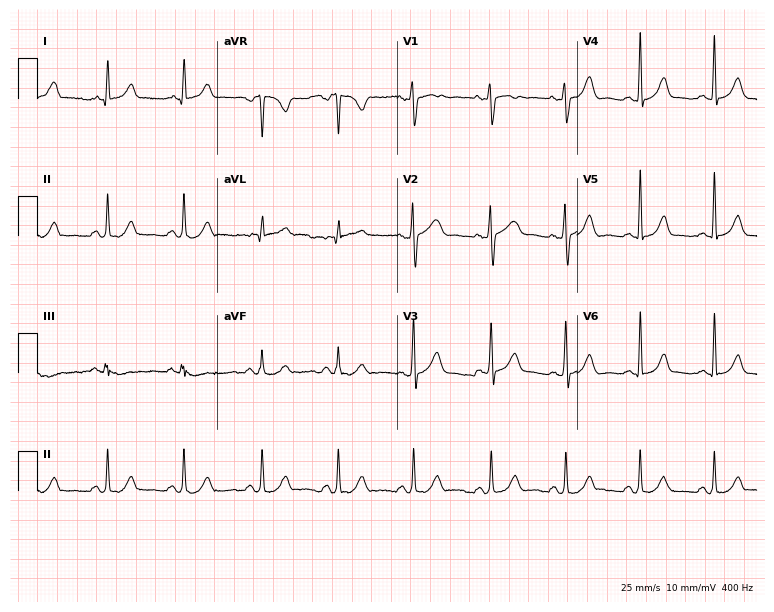
12-lead ECG from a woman, 39 years old. Recorded interpretation: within normal limits.